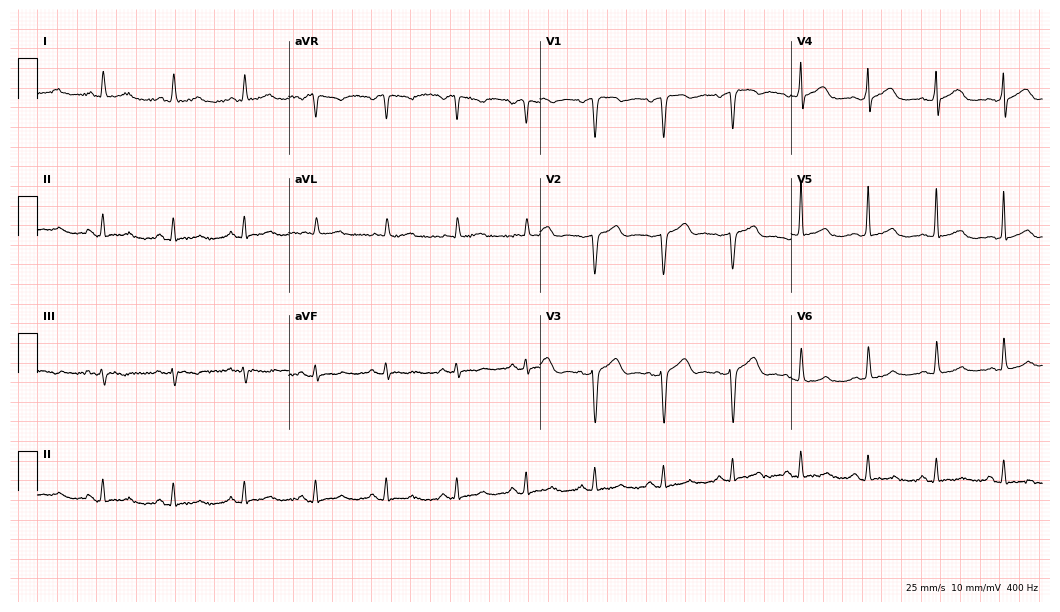
12-lead ECG from a male, 65 years old. No first-degree AV block, right bundle branch block, left bundle branch block, sinus bradycardia, atrial fibrillation or sinus tachycardia recorded for this tracing.